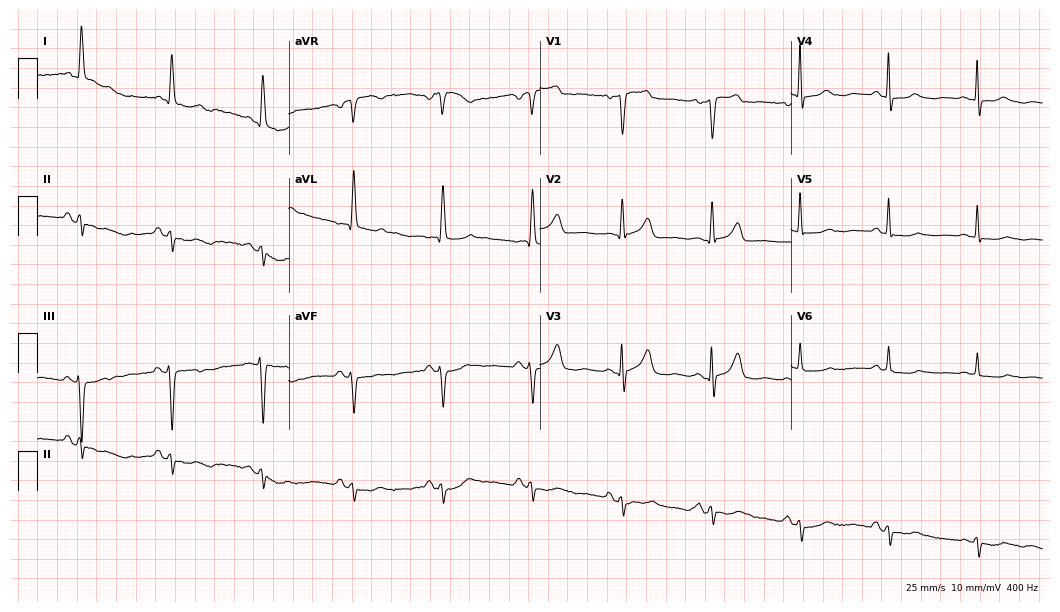
Electrocardiogram (10.2-second recording at 400 Hz), a 69-year-old female. Of the six screened findings (first-degree AV block, right bundle branch block (RBBB), left bundle branch block (LBBB), sinus bradycardia, atrial fibrillation (AF), sinus tachycardia), none is recorded. Other findings, if any, are not listed.